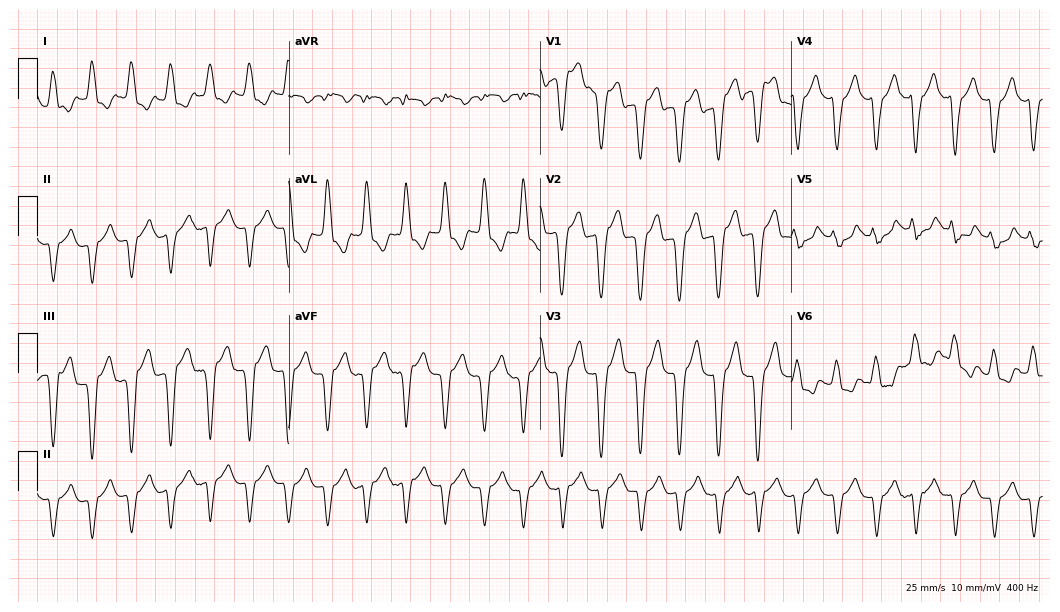
Standard 12-lead ECG recorded from a female patient, 68 years old (10.2-second recording at 400 Hz). The tracing shows left bundle branch block (LBBB), sinus tachycardia (a sinus rate of 100 beats per minute or more).